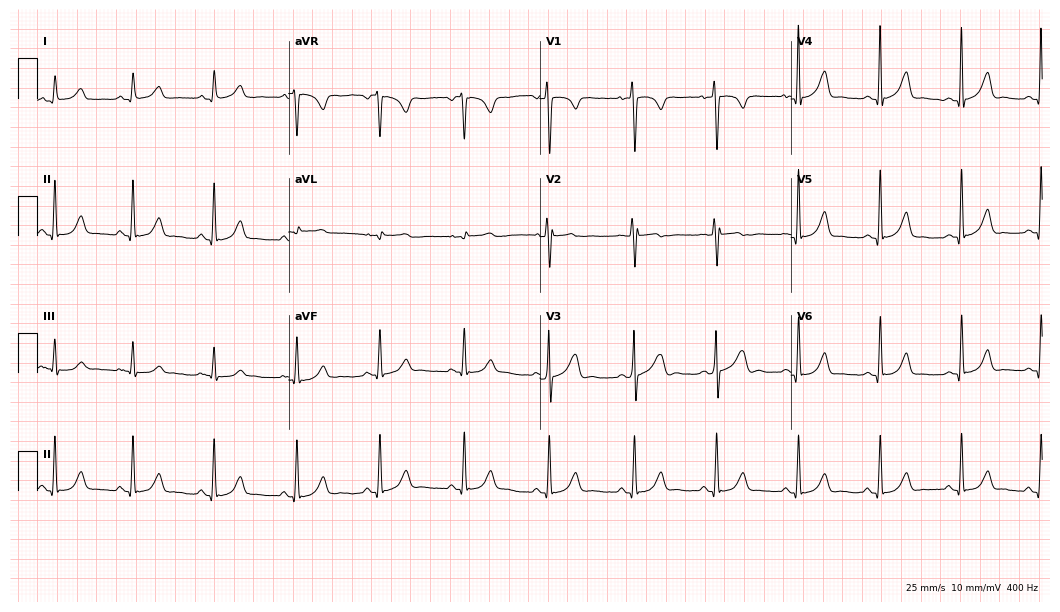
ECG — a male patient, 39 years old. Labelled as a normal ECG.